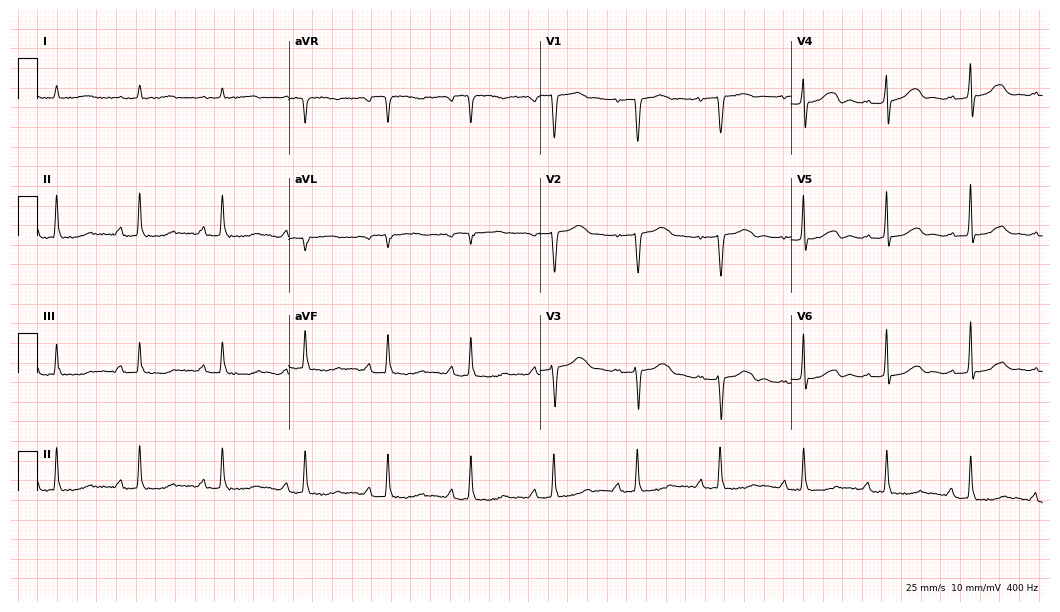
Electrocardiogram, a female patient, 84 years old. Interpretation includes first-degree AV block.